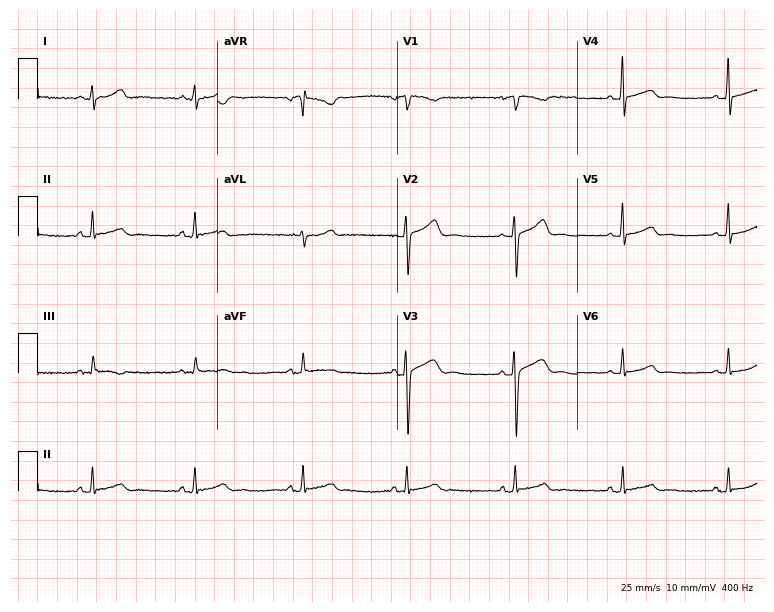
12-lead ECG (7.3-second recording at 400 Hz) from a female patient, 38 years old. Labelled as a normal ECG.